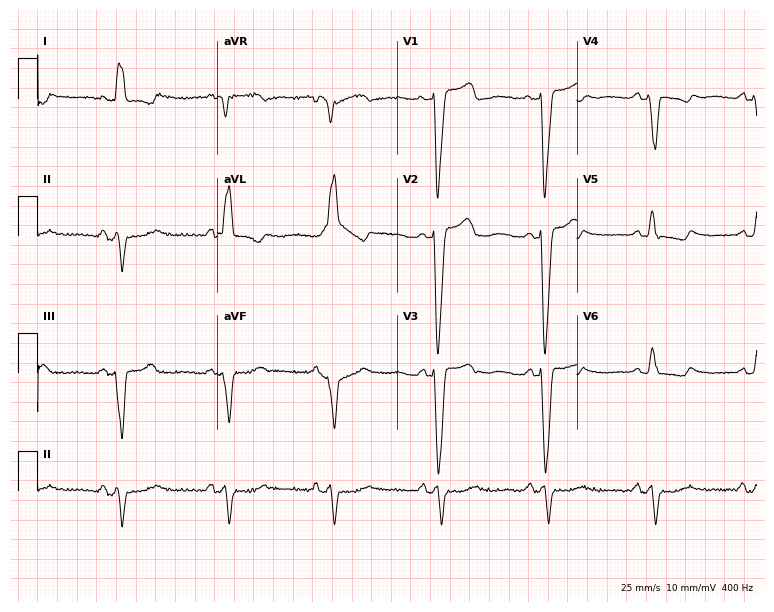
12-lead ECG from a woman, 81 years old. Findings include left bundle branch block (LBBB).